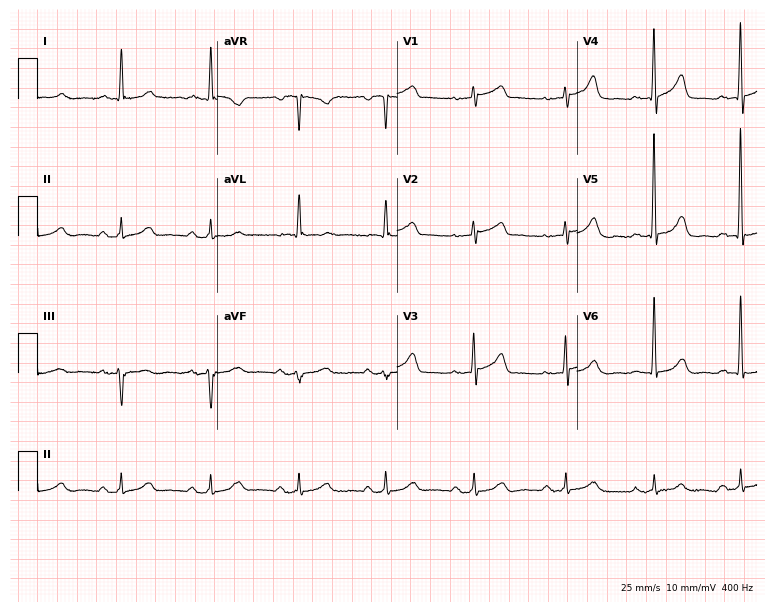
12-lead ECG from a 66-year-old male. Recorded interpretation: within normal limits.